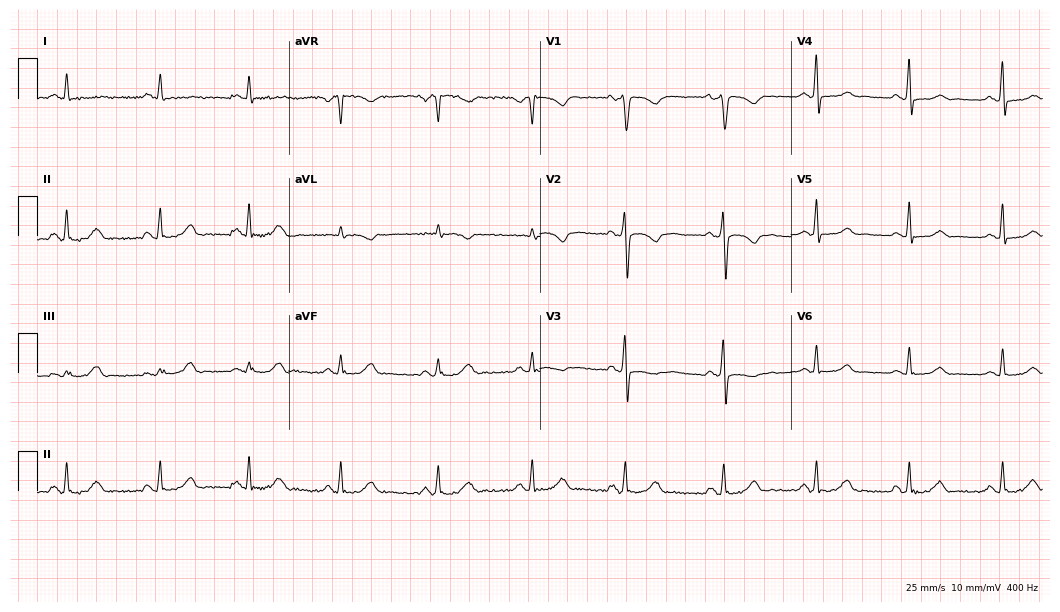
Resting 12-lead electrocardiogram. Patient: a female, 26 years old. None of these six findings is recorded: first-degree AV block, right bundle branch block, left bundle branch block, sinus bradycardia, atrial fibrillation, sinus tachycardia.